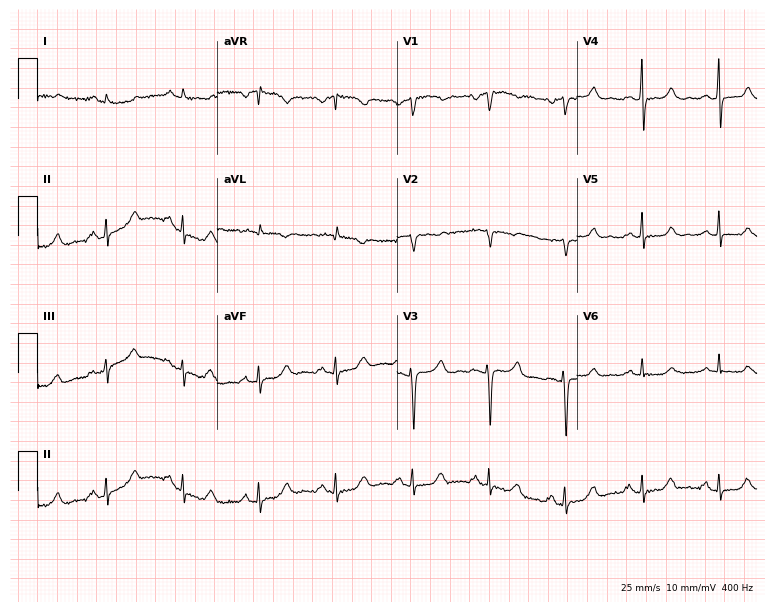
Standard 12-lead ECG recorded from a 52-year-old woman. None of these six findings is recorded: first-degree AV block, right bundle branch block, left bundle branch block, sinus bradycardia, atrial fibrillation, sinus tachycardia. Only these six findings were labelled.